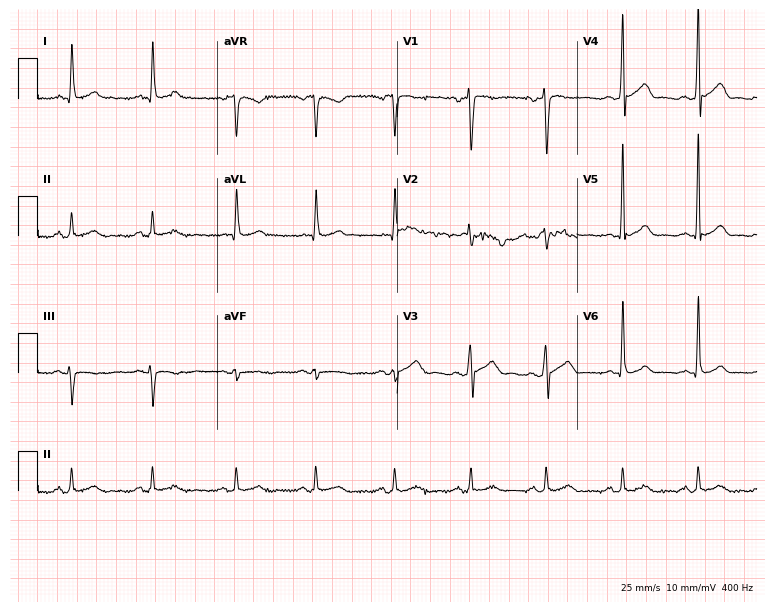
ECG — a 42-year-old male patient. Labelled as a normal ECG.